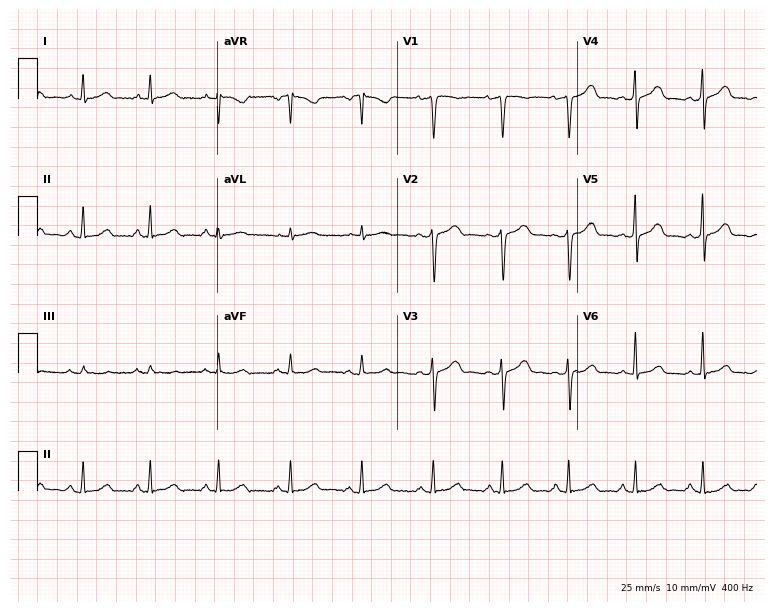
Electrocardiogram, a 39-year-old female patient. Overall reading on record: normal ECG.